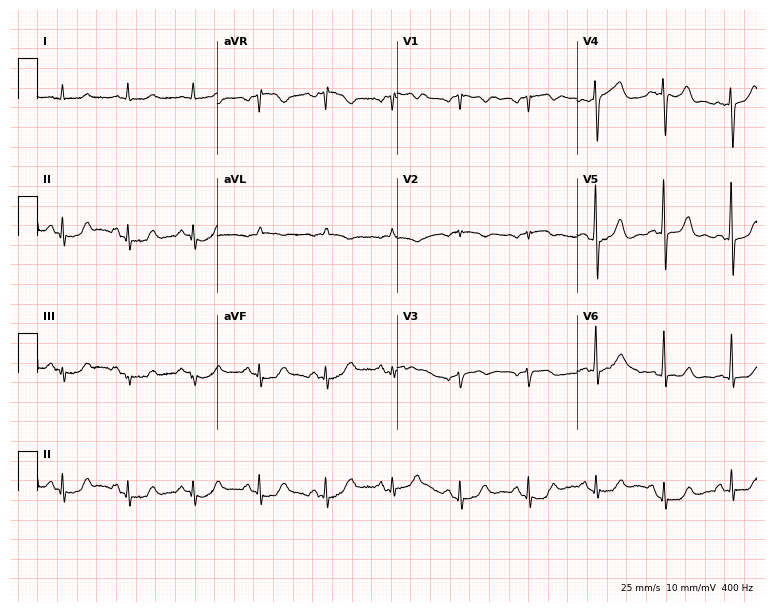
Resting 12-lead electrocardiogram (7.3-second recording at 400 Hz). Patient: a man, 69 years old. Read as a normal ECG.